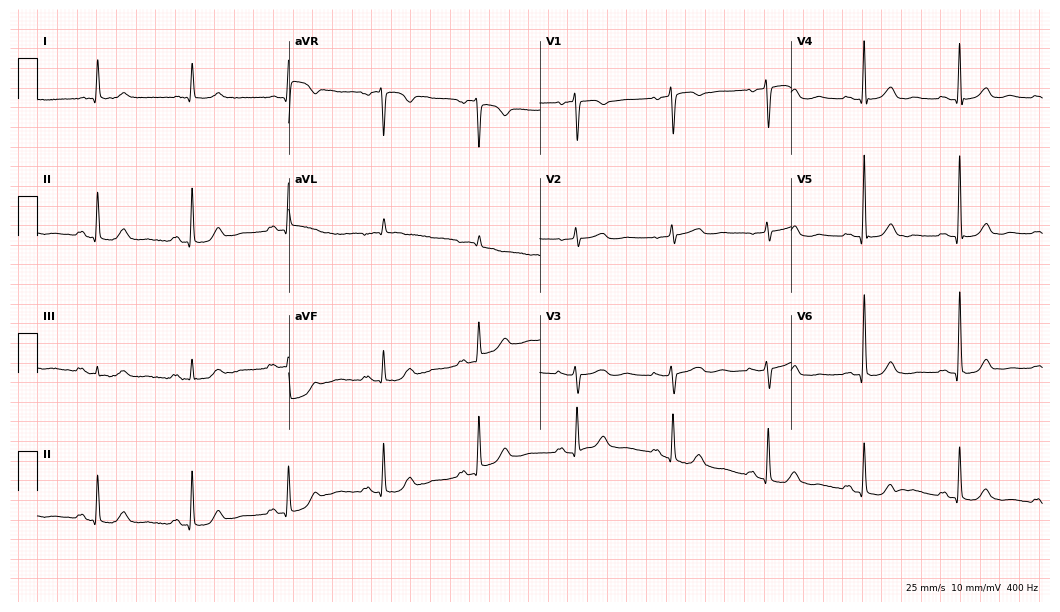
Resting 12-lead electrocardiogram. Patient: a 74-year-old woman. Read as a normal ECG.